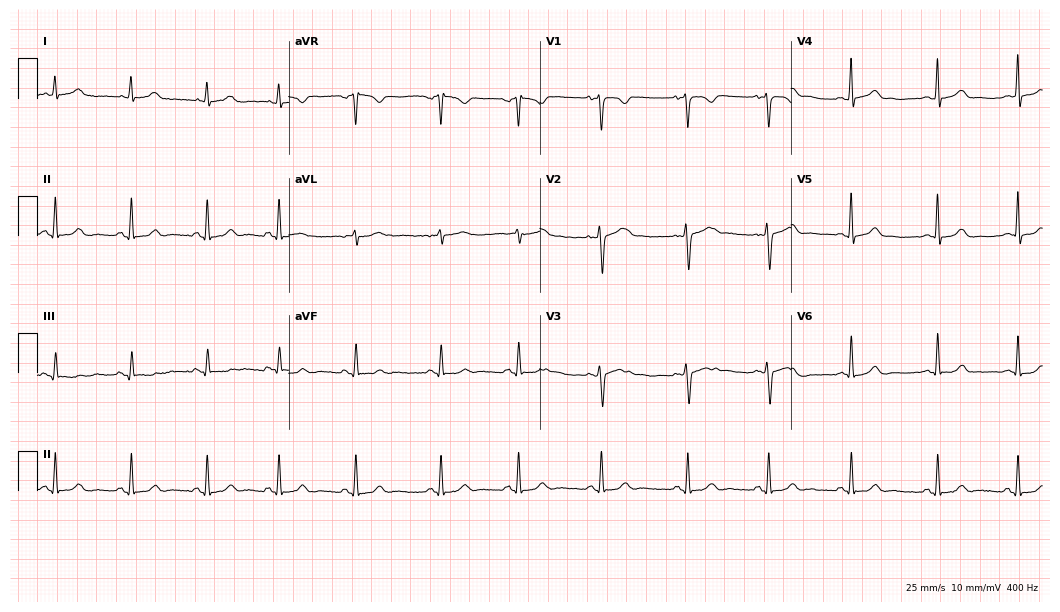
Standard 12-lead ECG recorded from a 28-year-old female patient. Read as a normal ECG.